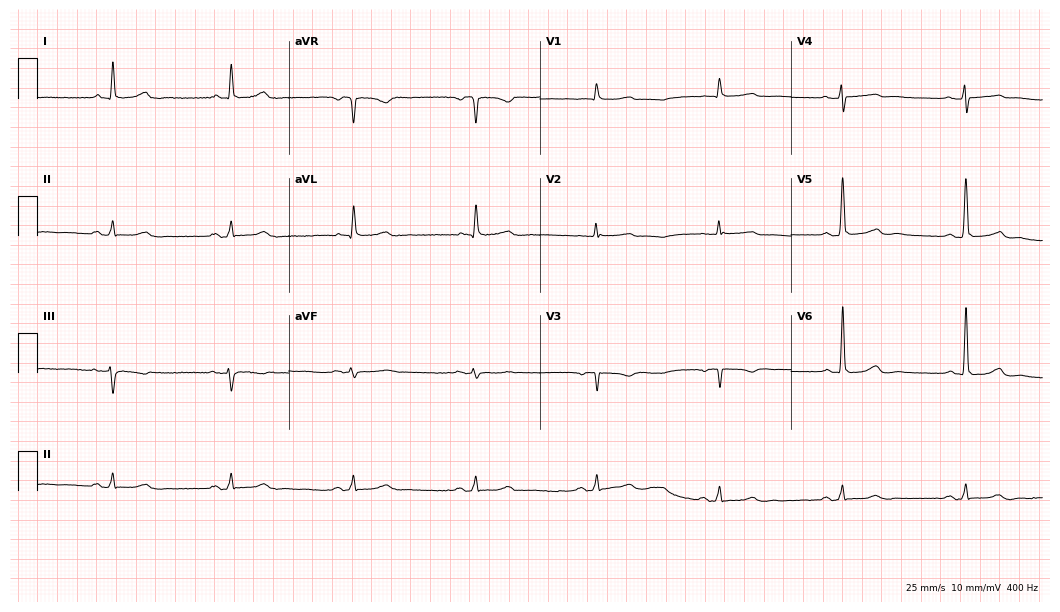
Standard 12-lead ECG recorded from a 77-year-old female (10.2-second recording at 400 Hz). Read as a normal ECG.